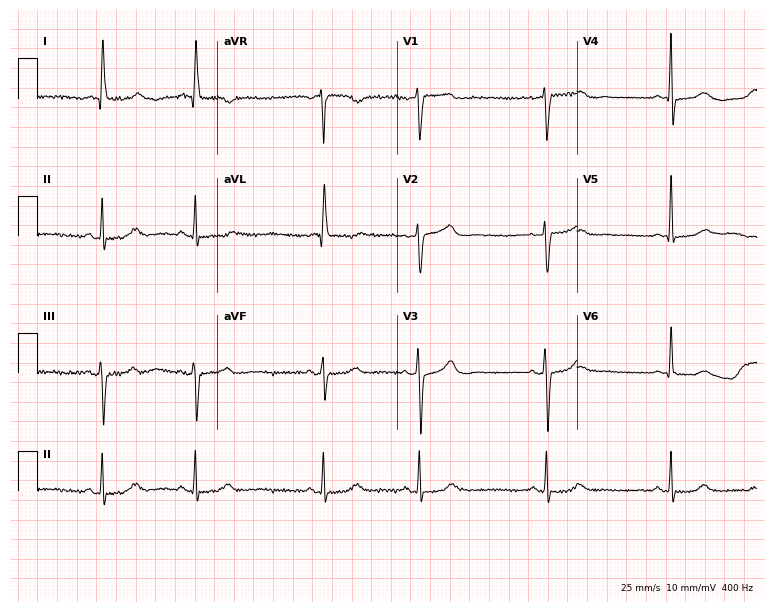
12-lead ECG (7.3-second recording at 400 Hz) from a female patient, 84 years old. Screened for six findings — first-degree AV block, right bundle branch block (RBBB), left bundle branch block (LBBB), sinus bradycardia, atrial fibrillation (AF), sinus tachycardia — none is recorded.